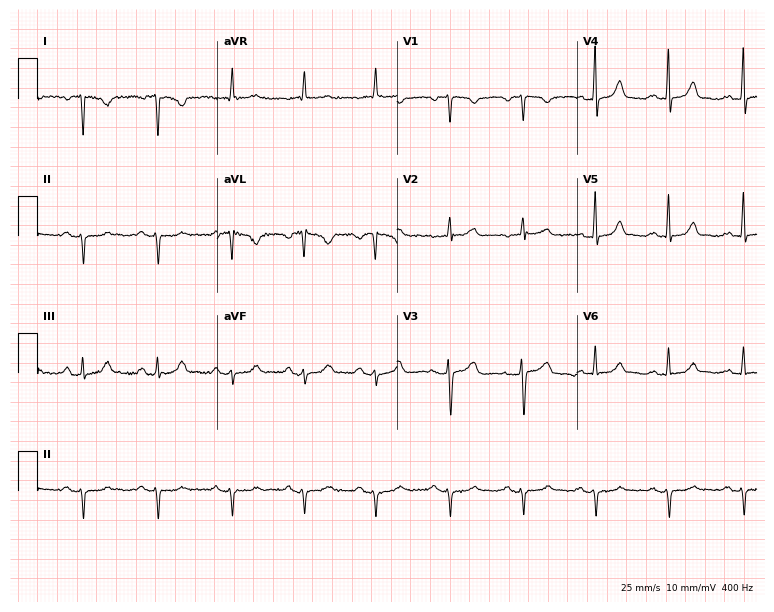
12-lead ECG from a woman, 63 years old. No first-degree AV block, right bundle branch block (RBBB), left bundle branch block (LBBB), sinus bradycardia, atrial fibrillation (AF) or sinus tachycardia recorded for this tracing. Only these six findings were labelled.